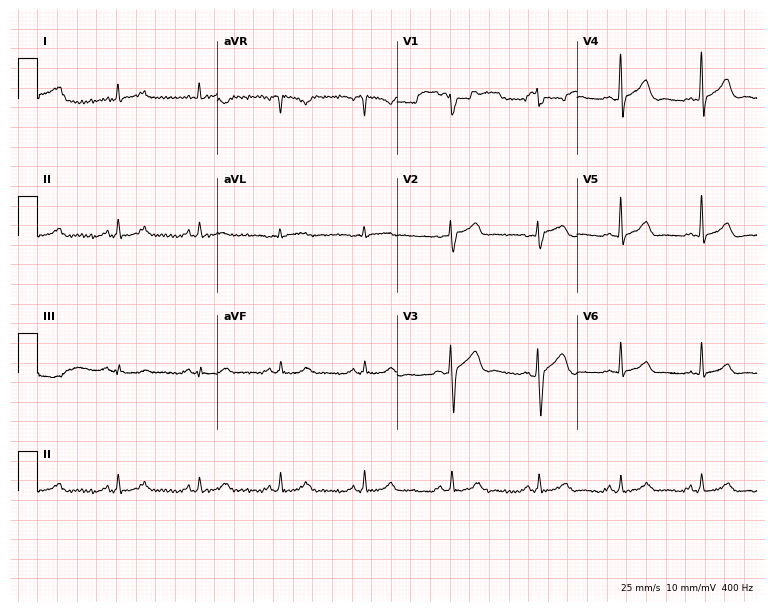
ECG — a 41-year-old male. Labelled as a normal ECG.